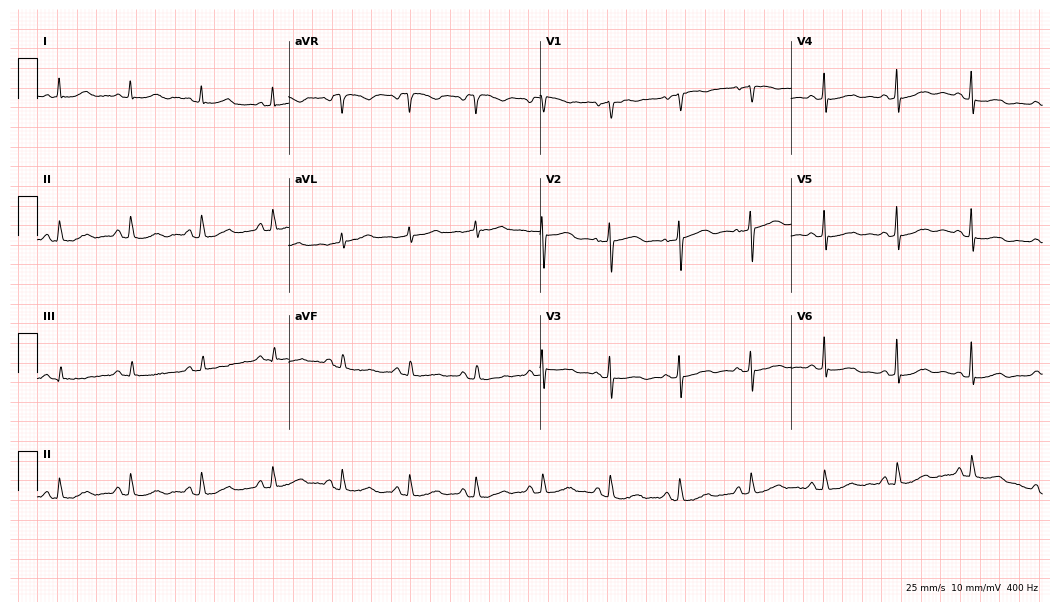
ECG (10.2-second recording at 400 Hz) — a female, 77 years old. Labelled as a normal ECG.